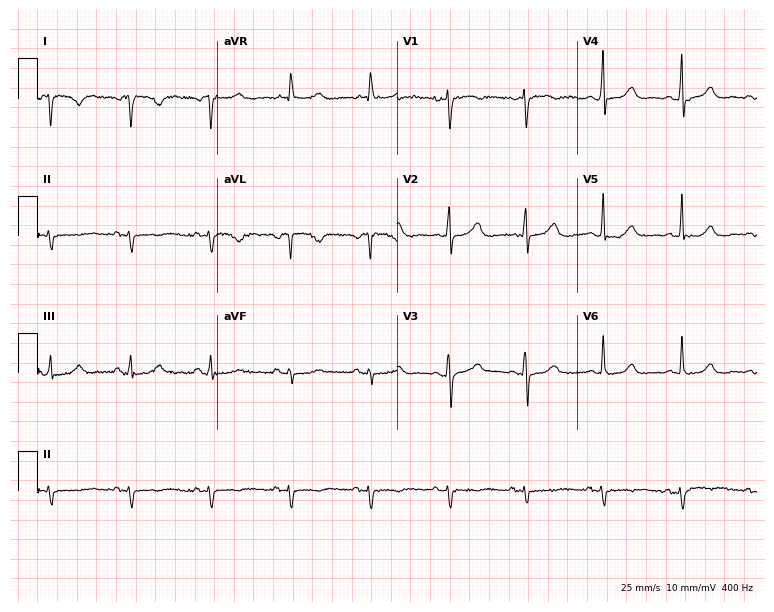
Resting 12-lead electrocardiogram. Patient: an 85-year-old female. None of these six findings is recorded: first-degree AV block, right bundle branch block (RBBB), left bundle branch block (LBBB), sinus bradycardia, atrial fibrillation (AF), sinus tachycardia.